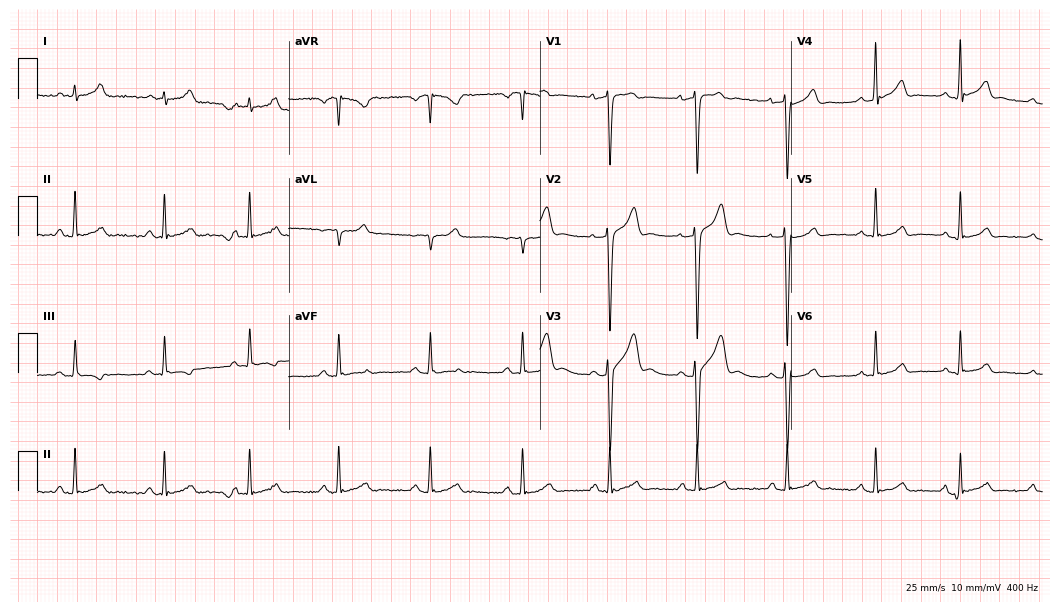
Standard 12-lead ECG recorded from a male patient, 41 years old (10.2-second recording at 400 Hz). None of these six findings is recorded: first-degree AV block, right bundle branch block (RBBB), left bundle branch block (LBBB), sinus bradycardia, atrial fibrillation (AF), sinus tachycardia. Other findings, if any, are not listed.